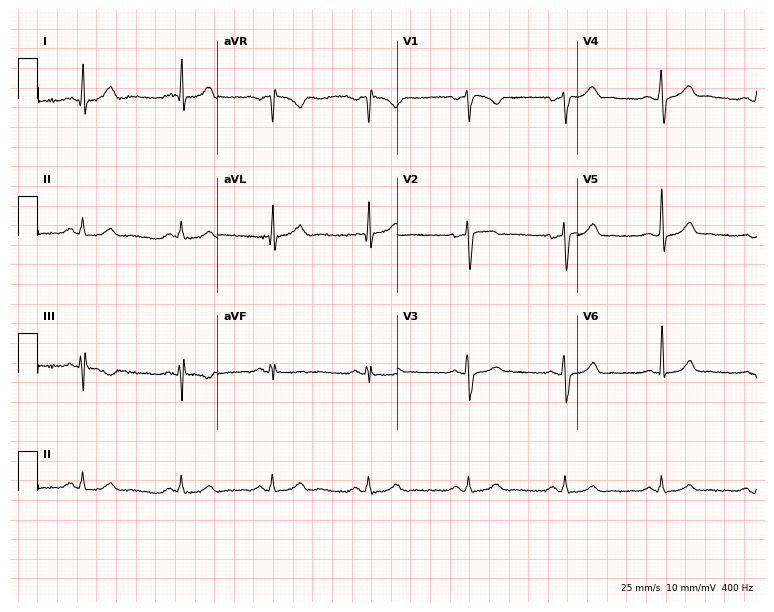
Resting 12-lead electrocardiogram (7.3-second recording at 400 Hz). Patient: a 25-year-old male. None of these six findings is recorded: first-degree AV block, right bundle branch block, left bundle branch block, sinus bradycardia, atrial fibrillation, sinus tachycardia. Findings outside these six are not listed.